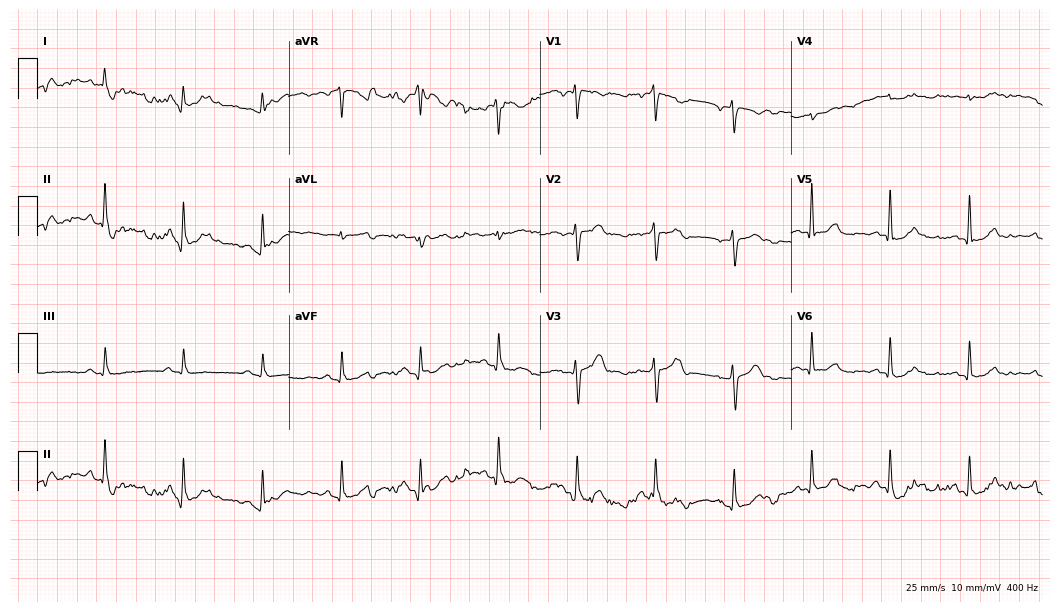
Standard 12-lead ECG recorded from a 64-year-old man. None of these six findings is recorded: first-degree AV block, right bundle branch block, left bundle branch block, sinus bradycardia, atrial fibrillation, sinus tachycardia.